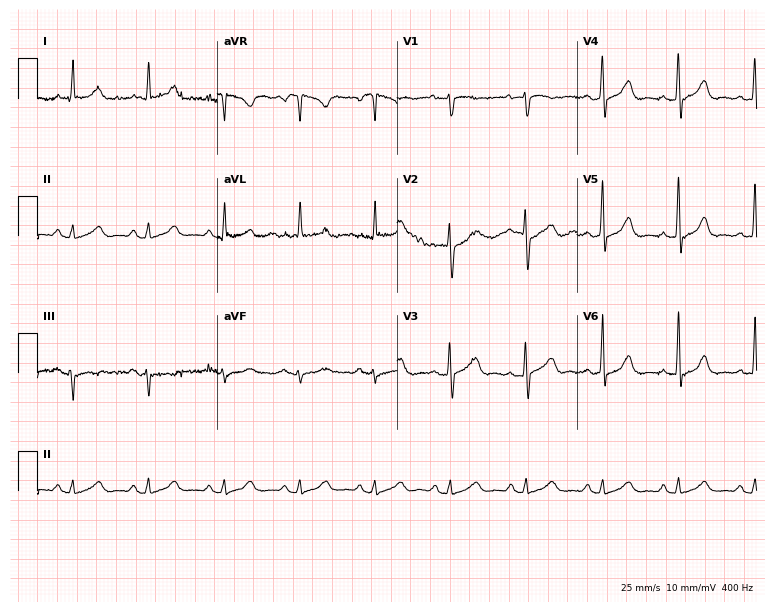
12-lead ECG from a female, 67 years old (7.3-second recording at 400 Hz). Recorded interpretation: within normal limits.